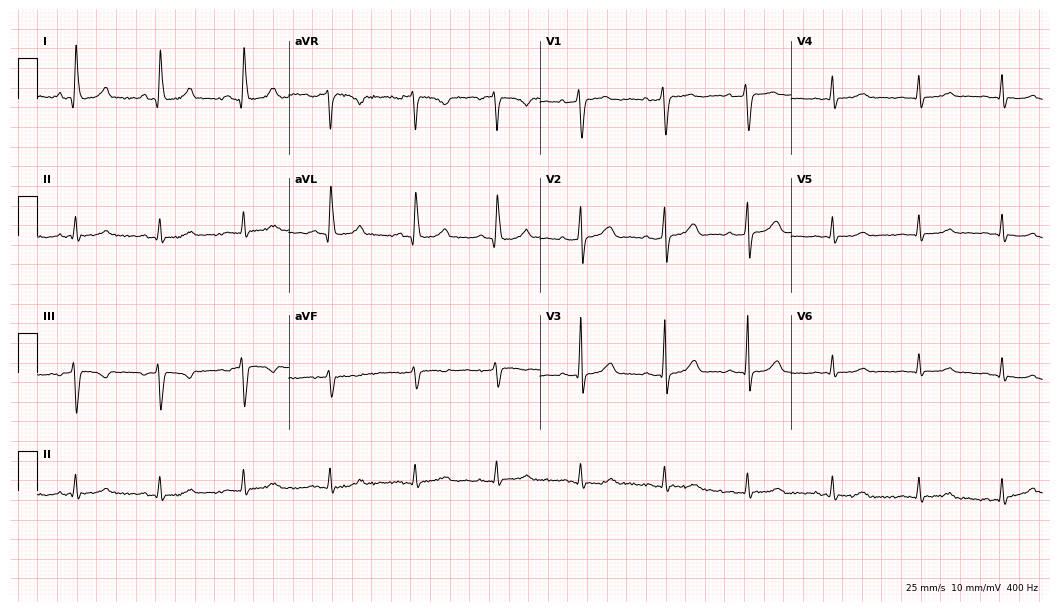
Standard 12-lead ECG recorded from a woman, 44 years old. Read as a normal ECG.